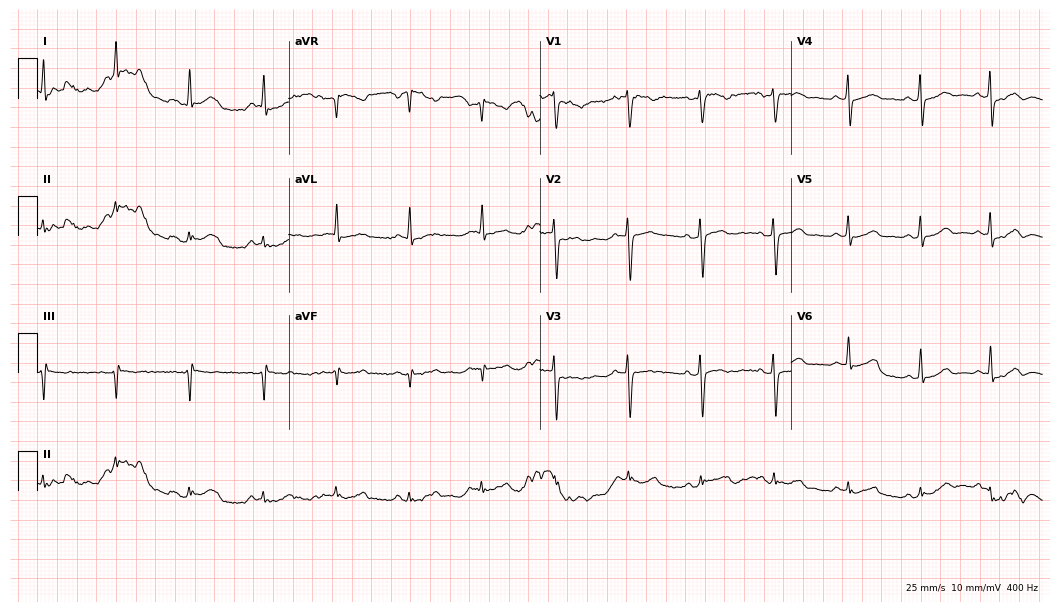
12-lead ECG from a female patient, 55 years old. Screened for six findings — first-degree AV block, right bundle branch block, left bundle branch block, sinus bradycardia, atrial fibrillation, sinus tachycardia — none is recorded.